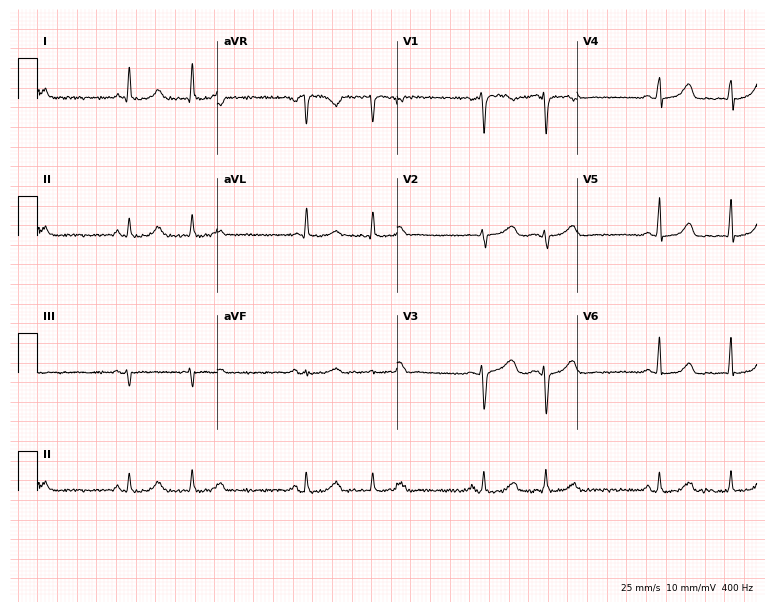
Standard 12-lead ECG recorded from a woman, 47 years old. None of these six findings is recorded: first-degree AV block, right bundle branch block (RBBB), left bundle branch block (LBBB), sinus bradycardia, atrial fibrillation (AF), sinus tachycardia. Findings outside these six are not listed.